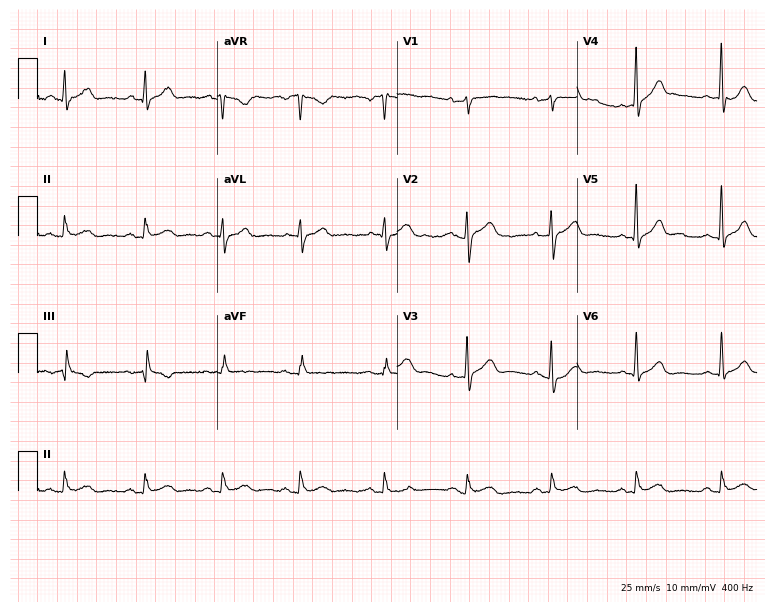
Standard 12-lead ECG recorded from a man, 42 years old. Read as a normal ECG.